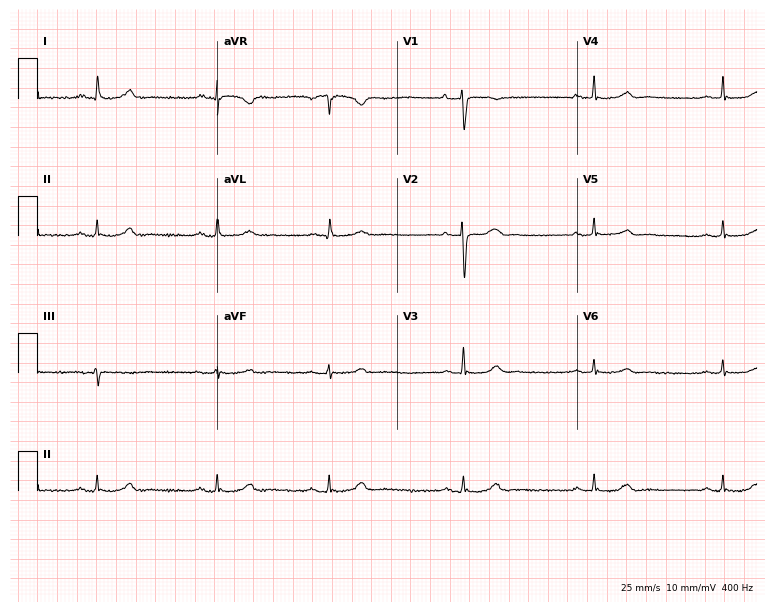
ECG — a 57-year-old female. Screened for six findings — first-degree AV block, right bundle branch block, left bundle branch block, sinus bradycardia, atrial fibrillation, sinus tachycardia — none is recorded.